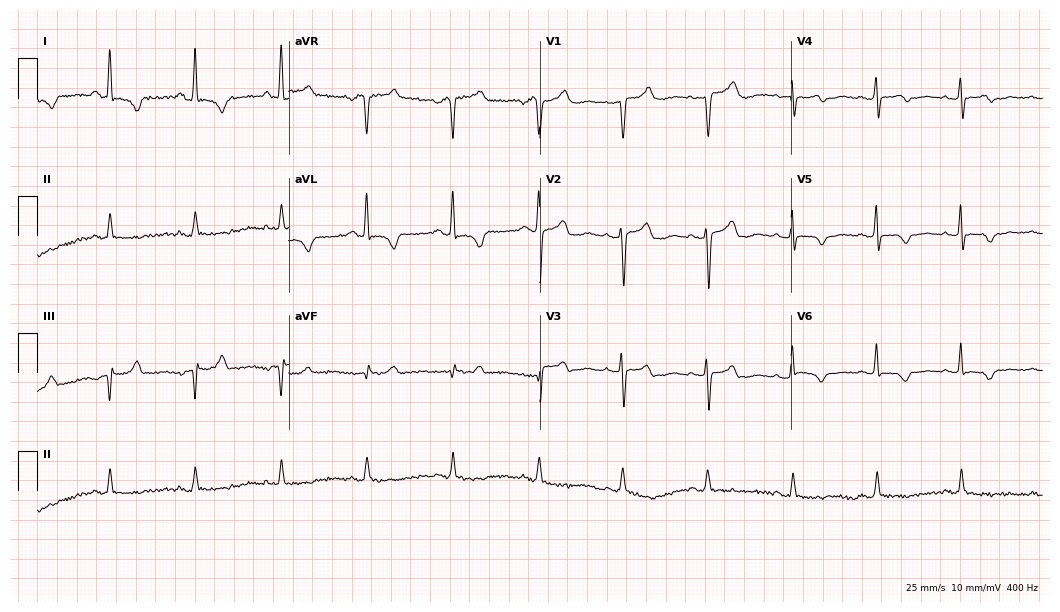
ECG (10.2-second recording at 400 Hz) — a female patient, 58 years old. Screened for six findings — first-degree AV block, right bundle branch block, left bundle branch block, sinus bradycardia, atrial fibrillation, sinus tachycardia — none is recorded. Findings outside these six are not listed.